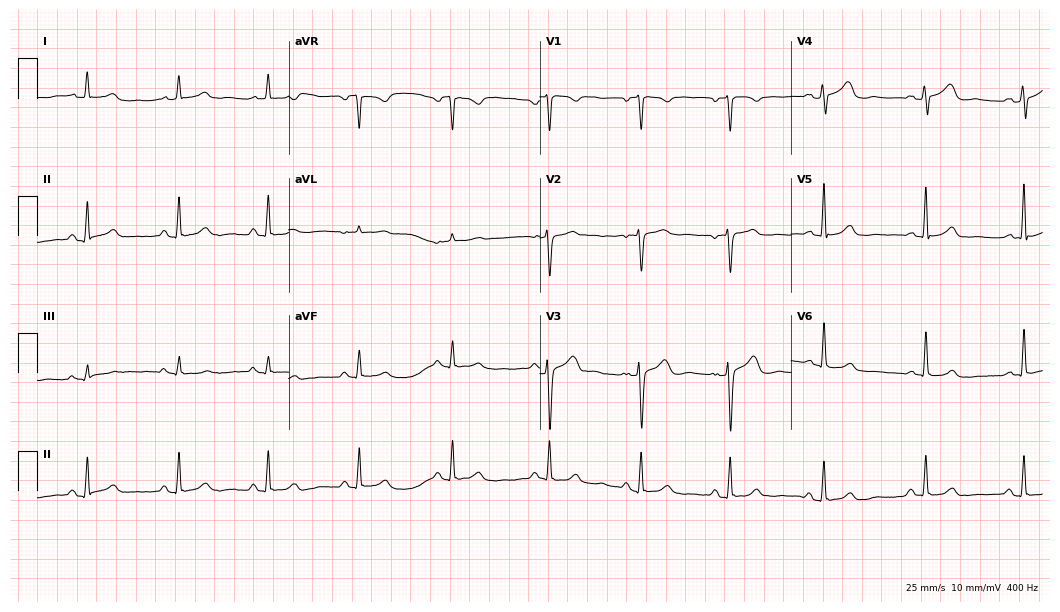
12-lead ECG (10.2-second recording at 400 Hz) from a woman, 54 years old. Labelled as a normal ECG.